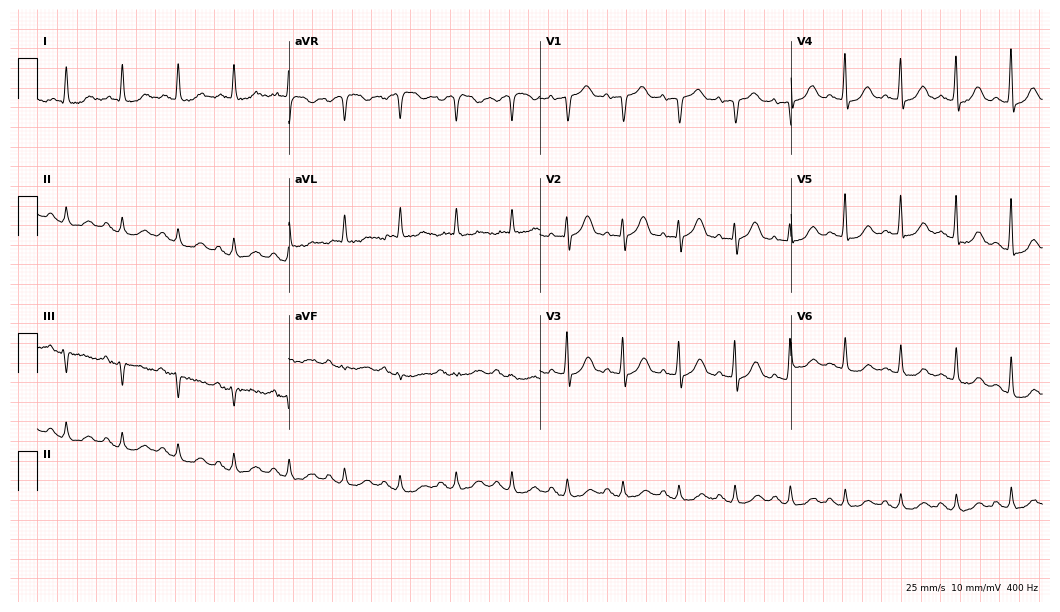
Resting 12-lead electrocardiogram. Patient: a female, 84 years old. The tracing shows sinus tachycardia (a sinus rate of 100 beats per minute or more).